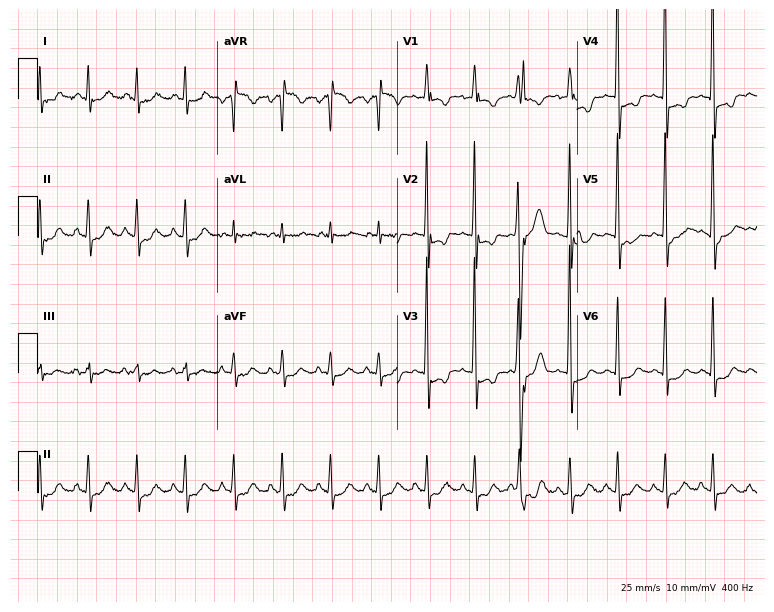
12-lead ECG from an 85-year-old female patient. Findings include sinus tachycardia (a sinus rate of 100 beats per minute or more).